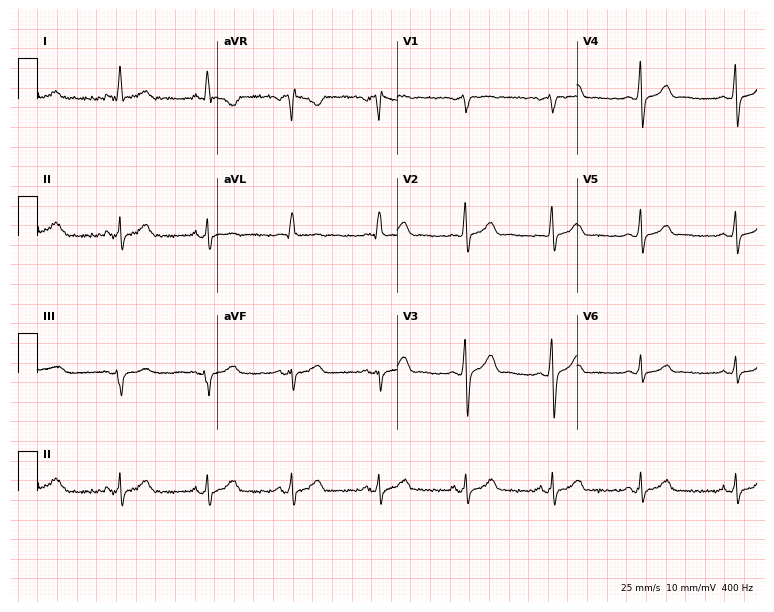
ECG — a 40-year-old man. Labelled as a normal ECG.